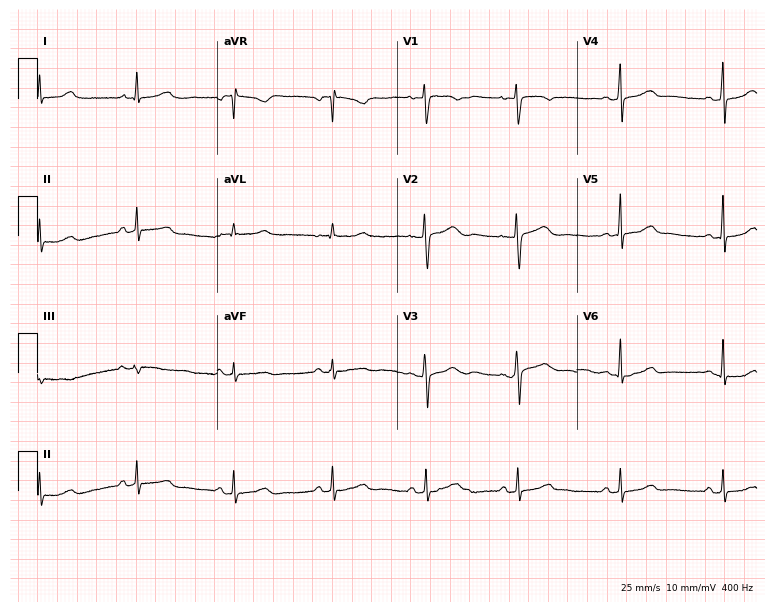
12-lead ECG from a 35-year-old female patient. Labelled as a normal ECG.